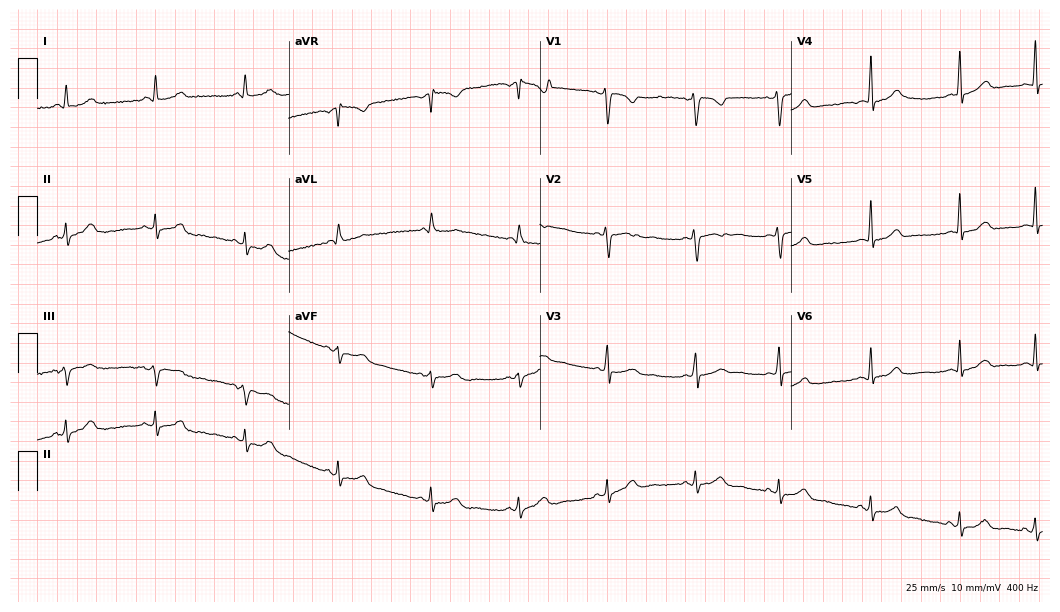
Electrocardiogram (10.2-second recording at 400 Hz), a woman, 38 years old. Overall reading on record: normal ECG.